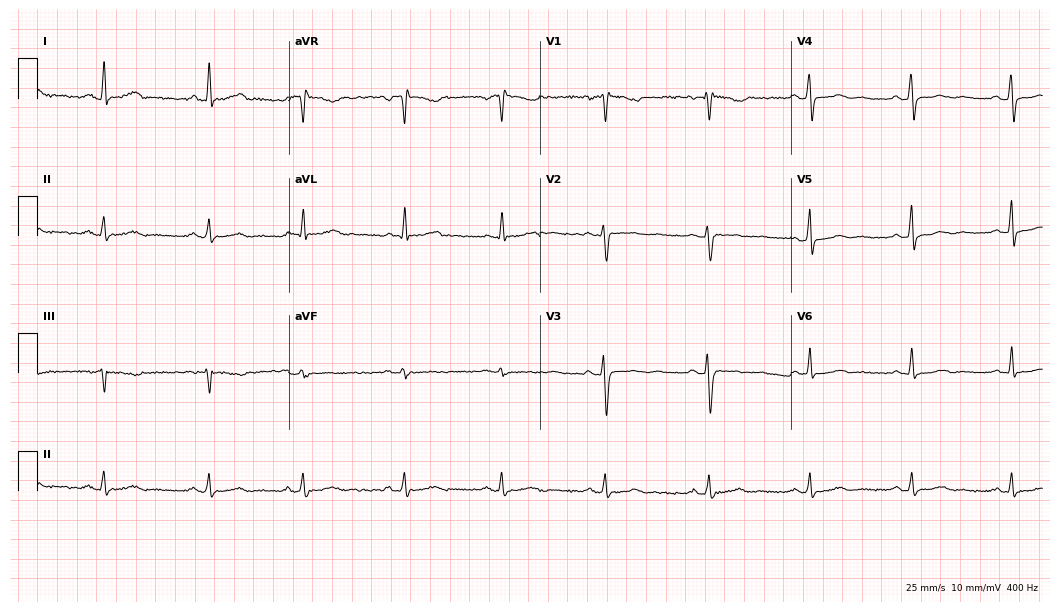
ECG — a woman, 36 years old. Screened for six findings — first-degree AV block, right bundle branch block (RBBB), left bundle branch block (LBBB), sinus bradycardia, atrial fibrillation (AF), sinus tachycardia — none is recorded.